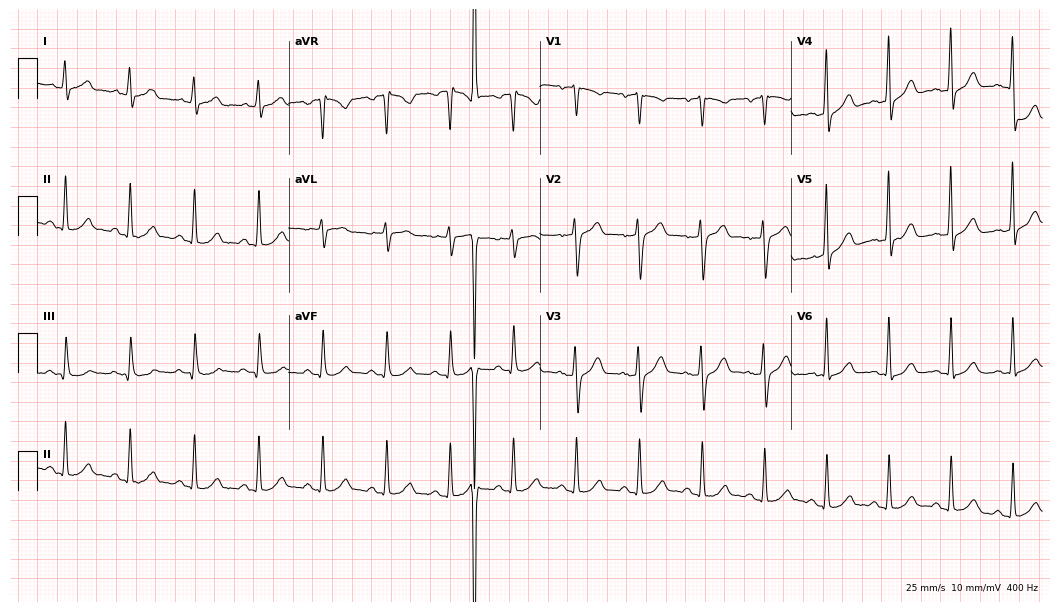
Resting 12-lead electrocardiogram (10.2-second recording at 400 Hz). Patient: a man, 58 years old. Read as a normal ECG.